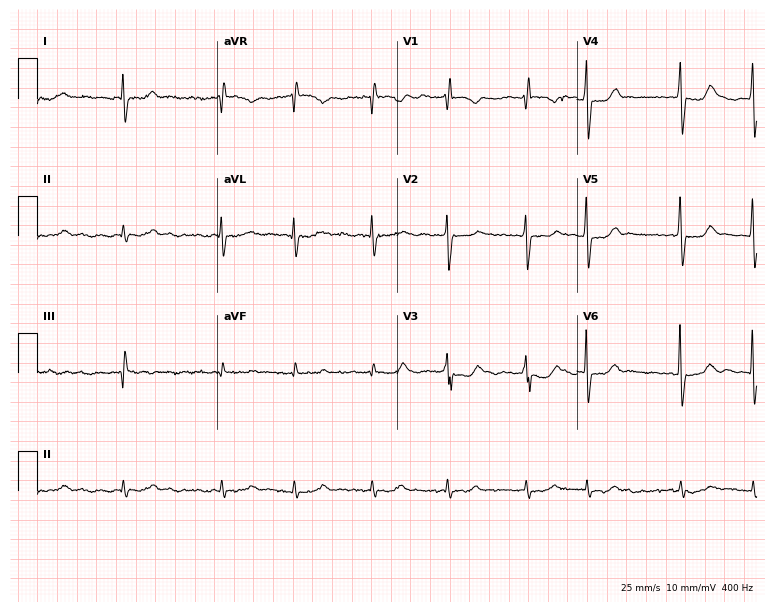
ECG (7.3-second recording at 400 Hz) — a female patient, 80 years old. Findings include atrial fibrillation.